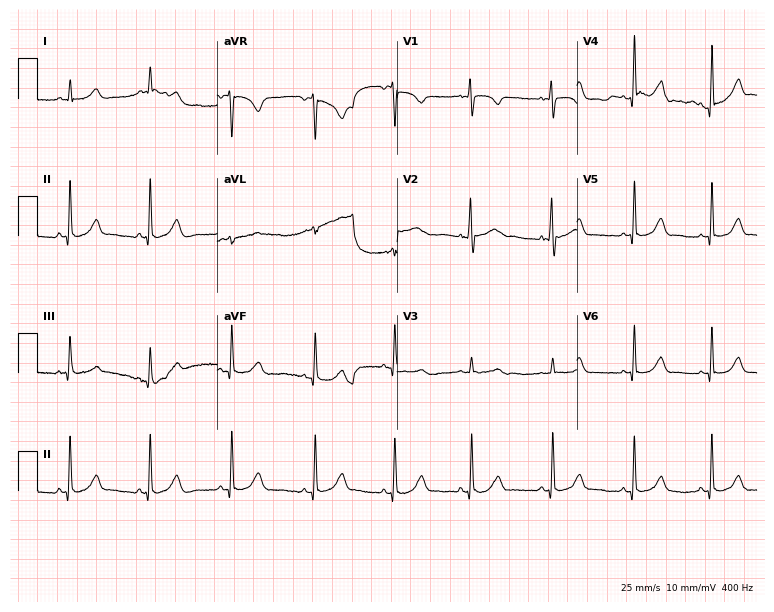
Electrocardiogram (7.3-second recording at 400 Hz), a woman, 56 years old. Overall reading on record: normal ECG.